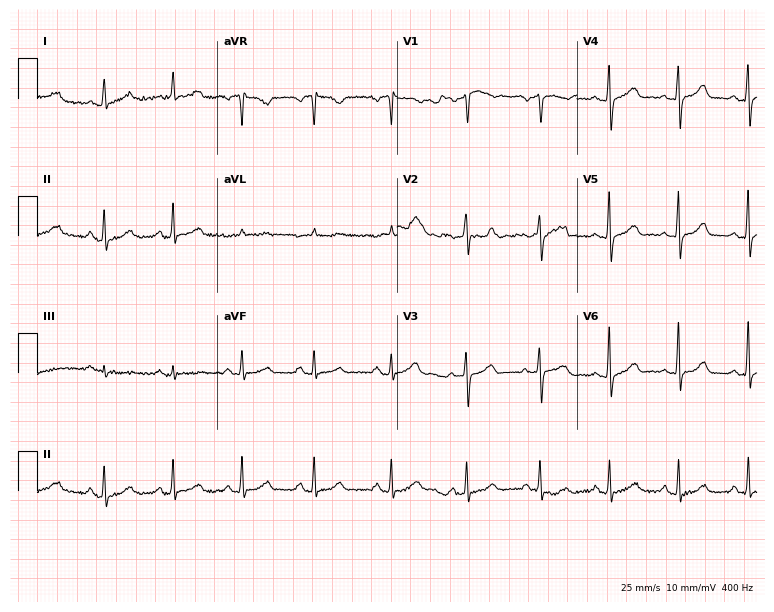
ECG (7.3-second recording at 400 Hz) — a 55-year-old female. Labelled as a normal ECG.